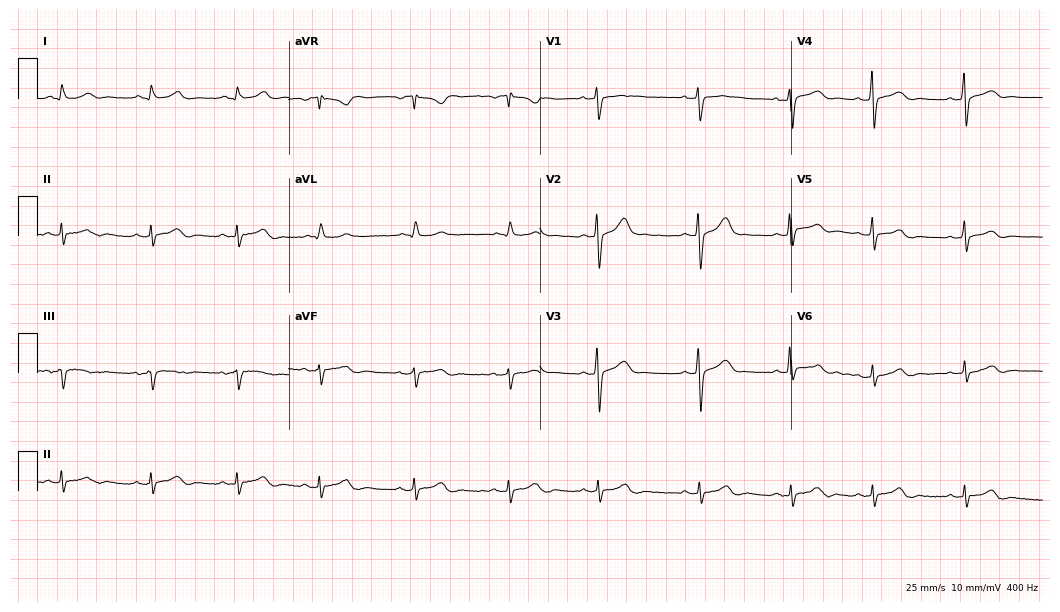
Standard 12-lead ECG recorded from a 23-year-old woman. None of these six findings is recorded: first-degree AV block, right bundle branch block, left bundle branch block, sinus bradycardia, atrial fibrillation, sinus tachycardia. Only these six findings were labelled.